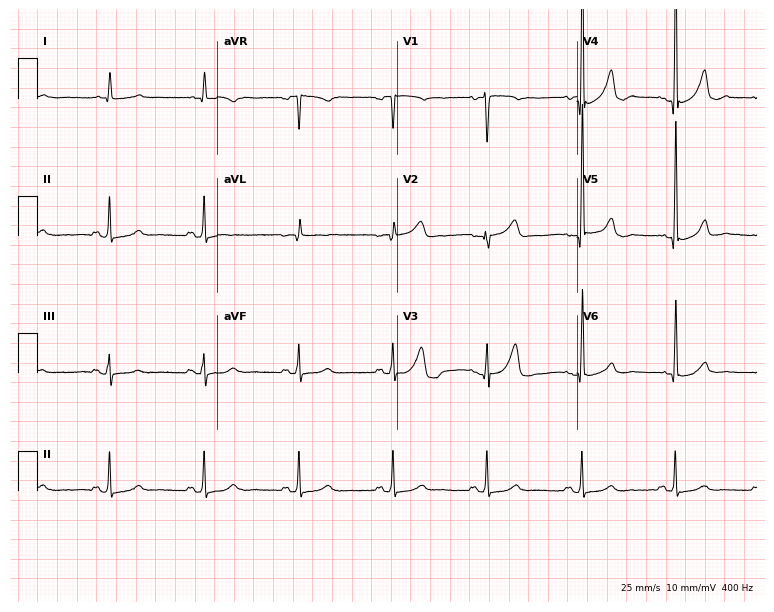
ECG (7.3-second recording at 400 Hz) — a 67-year-old male patient. Labelled as a normal ECG.